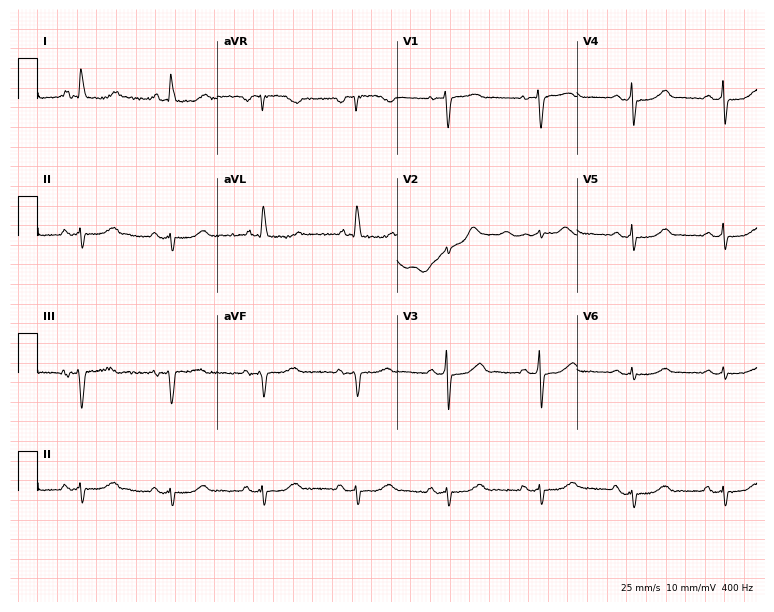
12-lead ECG from a woman, 79 years old (7.3-second recording at 400 Hz). No first-degree AV block, right bundle branch block, left bundle branch block, sinus bradycardia, atrial fibrillation or sinus tachycardia recorded for this tracing. Other findings, if any, are not listed.